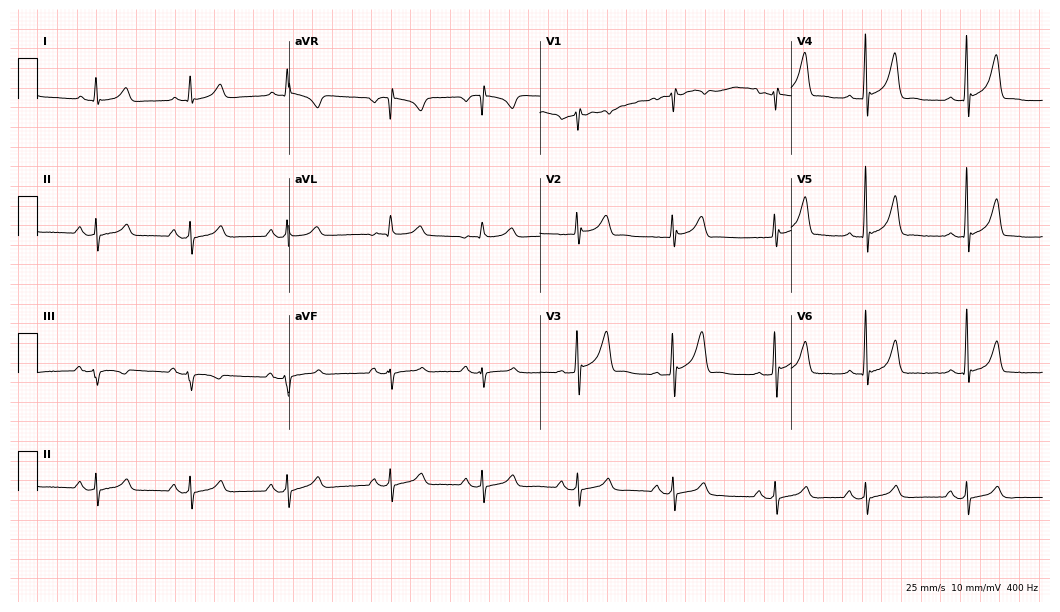
Standard 12-lead ECG recorded from a 58-year-old man (10.2-second recording at 400 Hz). None of these six findings is recorded: first-degree AV block, right bundle branch block, left bundle branch block, sinus bradycardia, atrial fibrillation, sinus tachycardia. Findings outside these six are not listed.